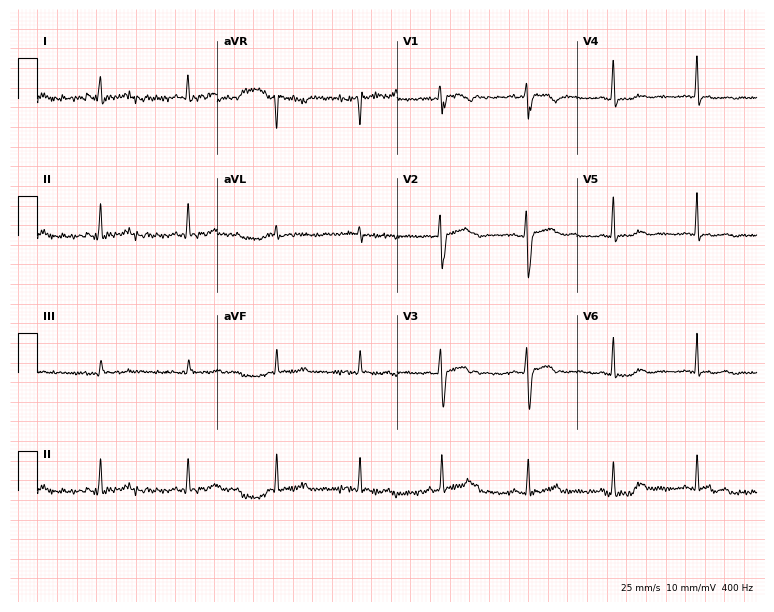
ECG — a female patient, 39 years old. Screened for six findings — first-degree AV block, right bundle branch block, left bundle branch block, sinus bradycardia, atrial fibrillation, sinus tachycardia — none is recorded. Other findings, if any, are not listed.